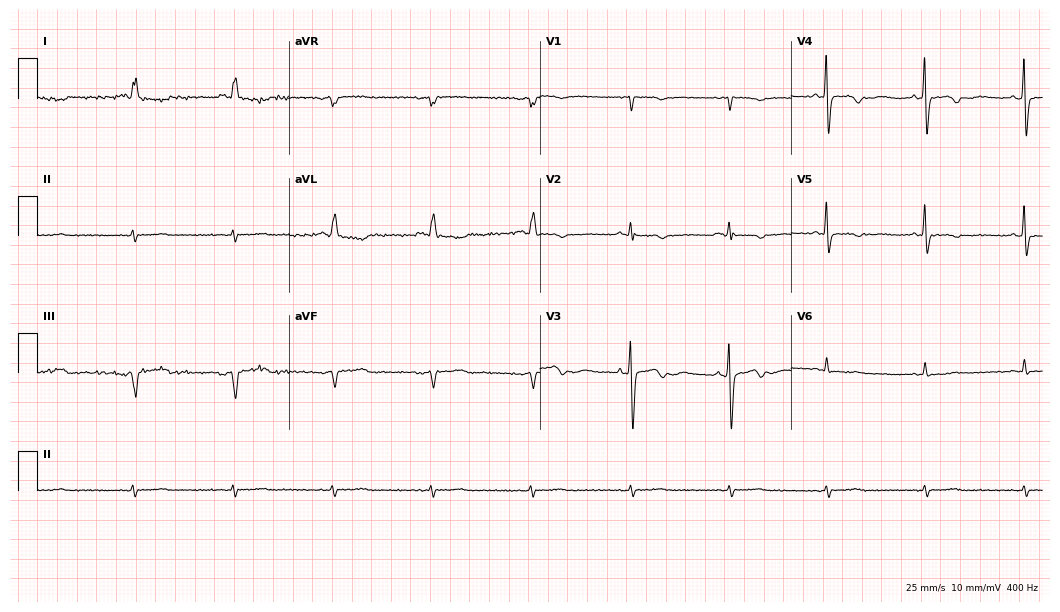
Electrocardiogram, a female patient, 80 years old. Of the six screened findings (first-degree AV block, right bundle branch block (RBBB), left bundle branch block (LBBB), sinus bradycardia, atrial fibrillation (AF), sinus tachycardia), none is recorded.